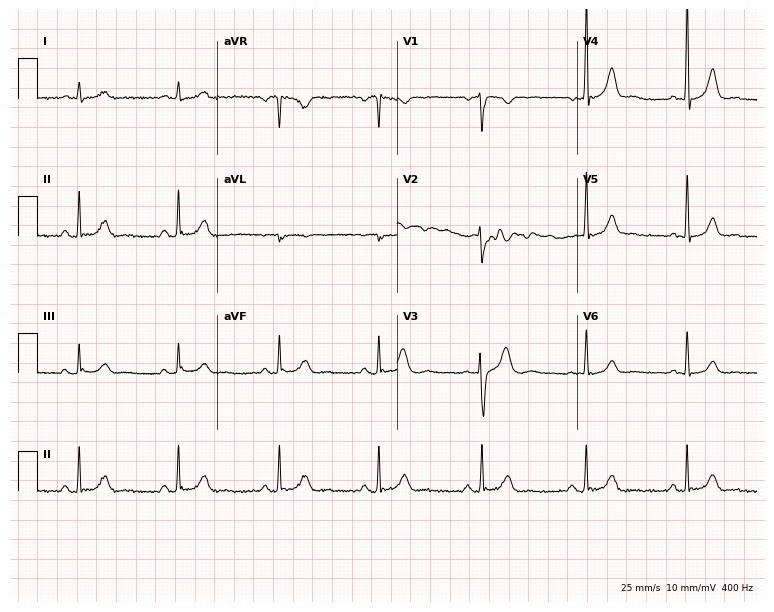
ECG (7.3-second recording at 400 Hz) — a male patient, 40 years old. Labelled as a normal ECG.